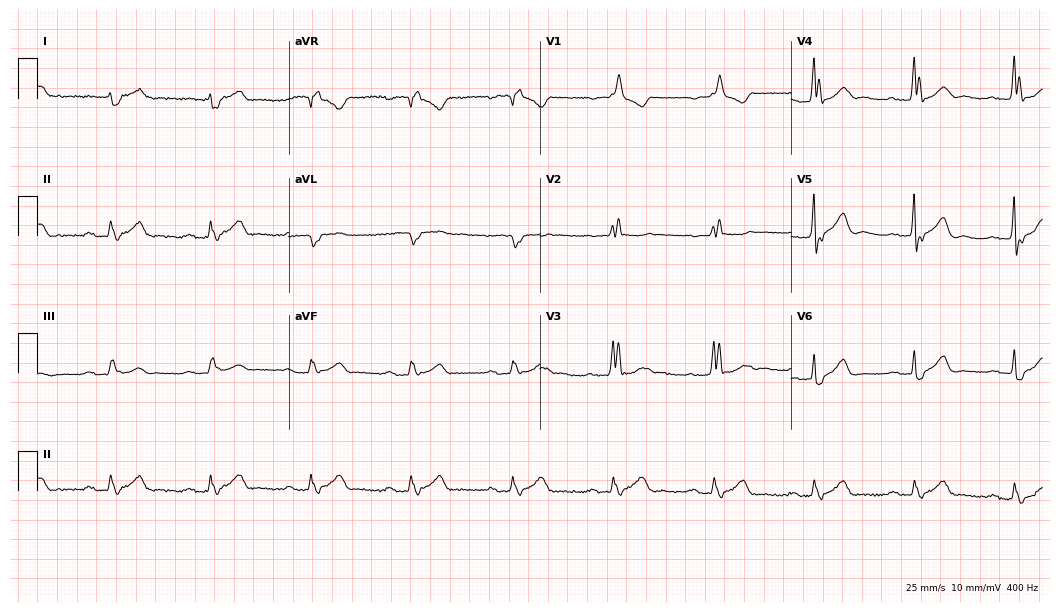
Standard 12-lead ECG recorded from a male, 82 years old. The tracing shows first-degree AV block, right bundle branch block (RBBB).